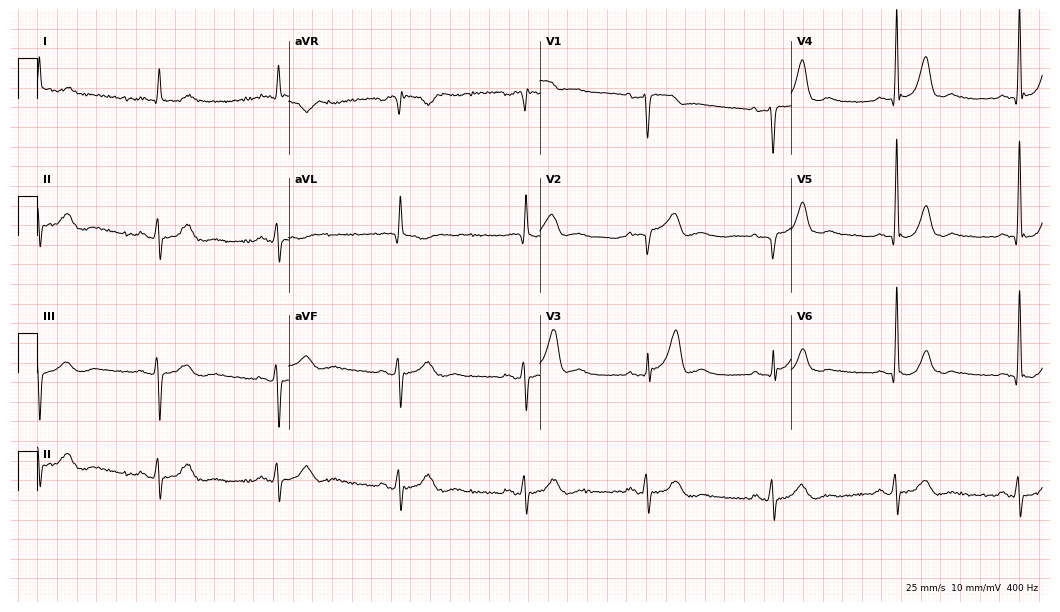
Standard 12-lead ECG recorded from a male, 73 years old (10.2-second recording at 400 Hz). The tracing shows sinus bradycardia (a sinus rate of 50 beats per minute or less).